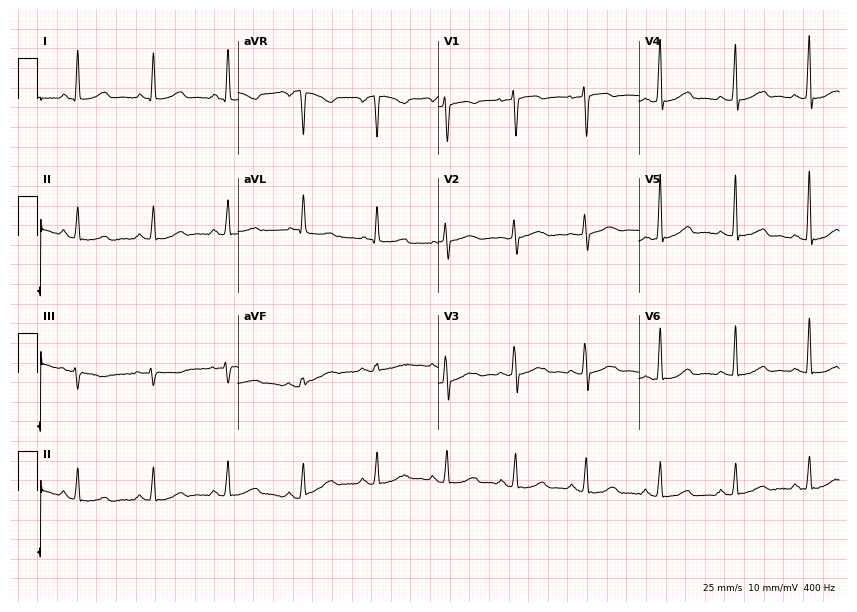
Standard 12-lead ECG recorded from a female, 34 years old. Read as a normal ECG.